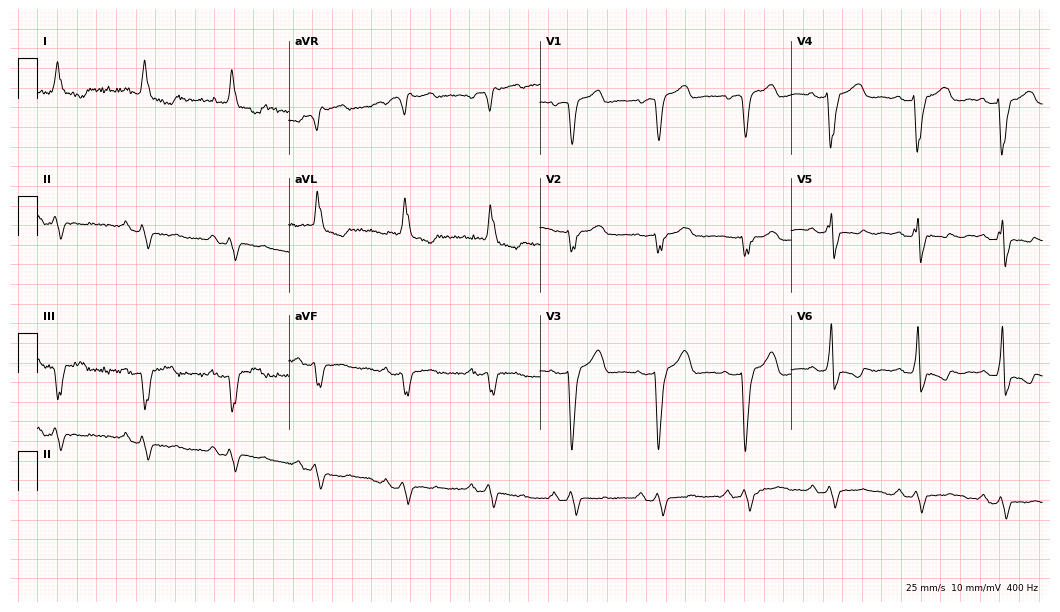
ECG (10.2-second recording at 400 Hz) — a female patient, 79 years old. Findings include left bundle branch block.